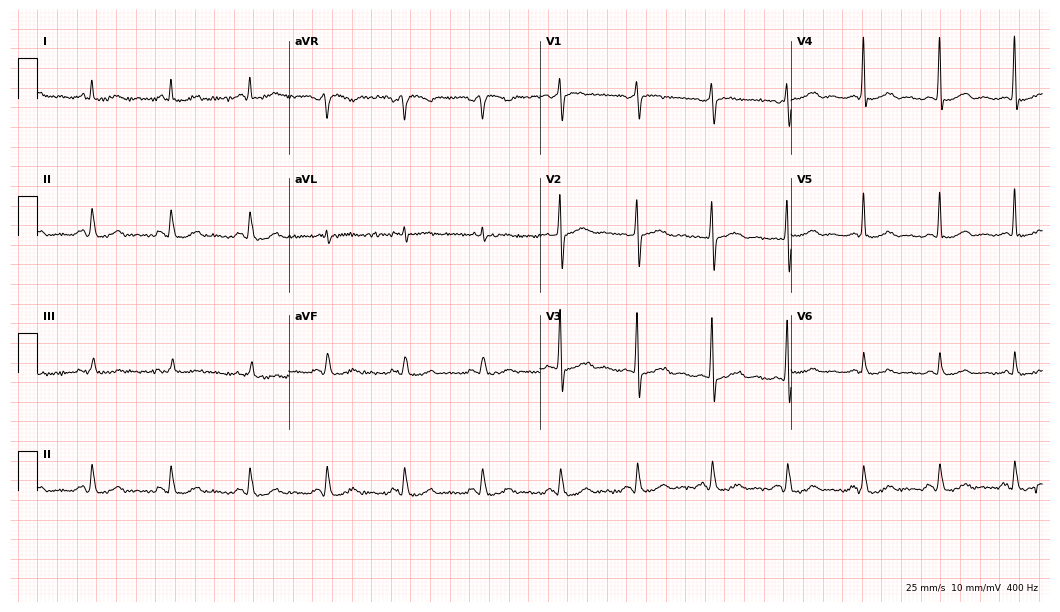
ECG — a 66-year-old male. Labelled as a normal ECG.